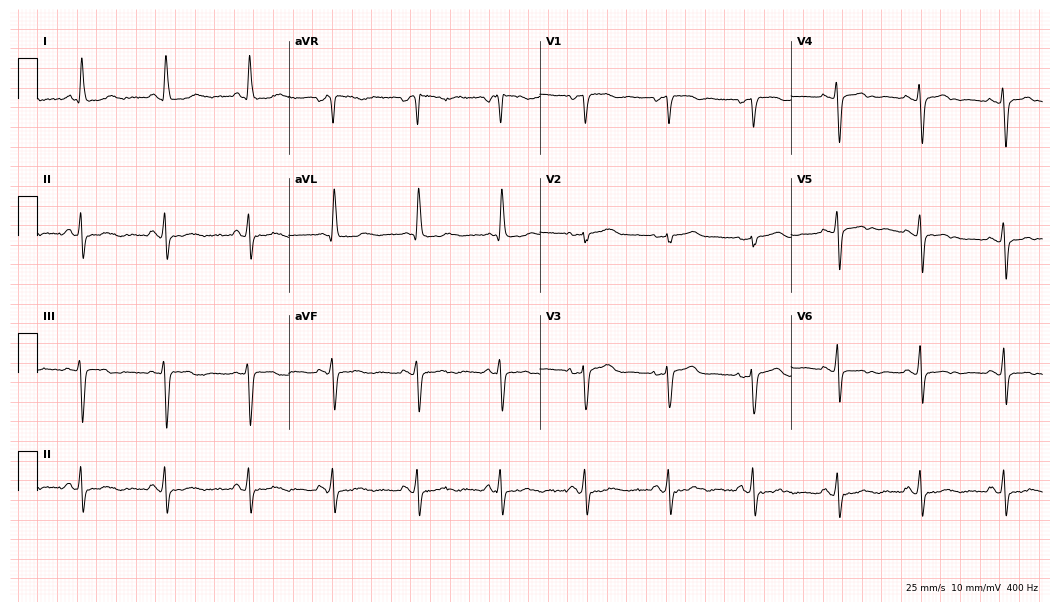
12-lead ECG from a 67-year-old woman. Screened for six findings — first-degree AV block, right bundle branch block, left bundle branch block, sinus bradycardia, atrial fibrillation, sinus tachycardia — none is recorded.